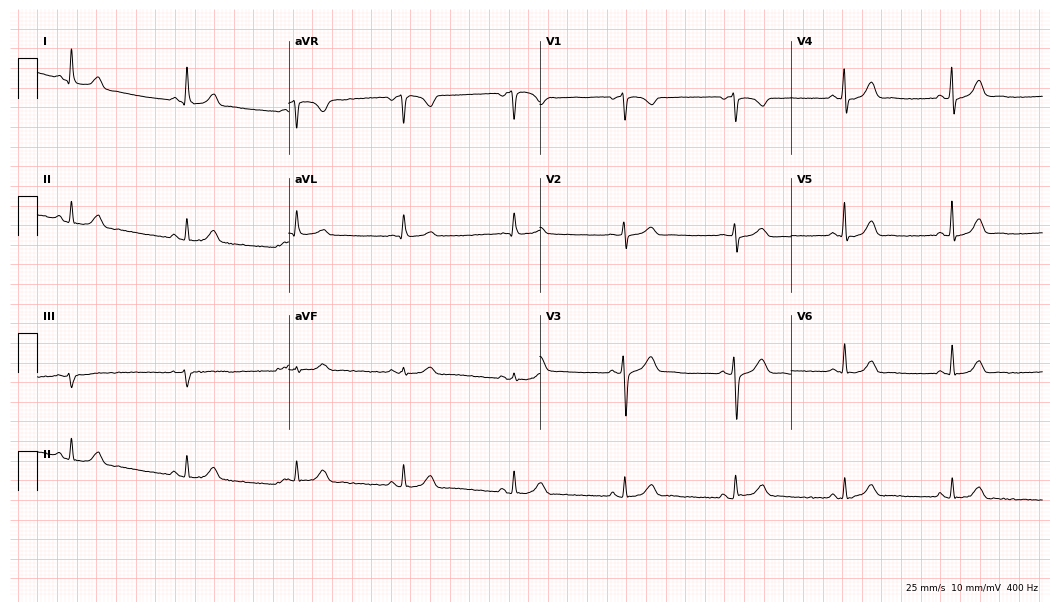
Electrocardiogram (10.2-second recording at 400 Hz), a man, 52 years old. Overall reading on record: normal ECG.